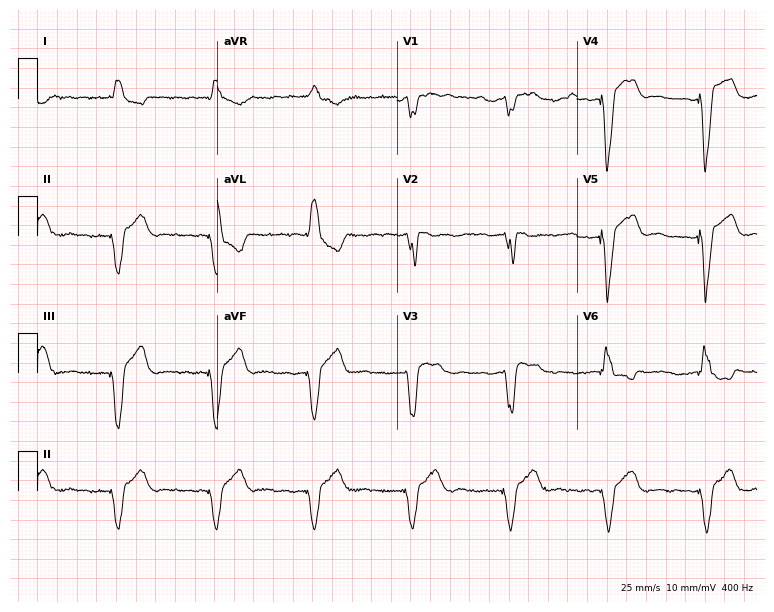
12-lead ECG (7.3-second recording at 400 Hz) from an 82-year-old female. Screened for six findings — first-degree AV block, right bundle branch block, left bundle branch block, sinus bradycardia, atrial fibrillation, sinus tachycardia — none is recorded.